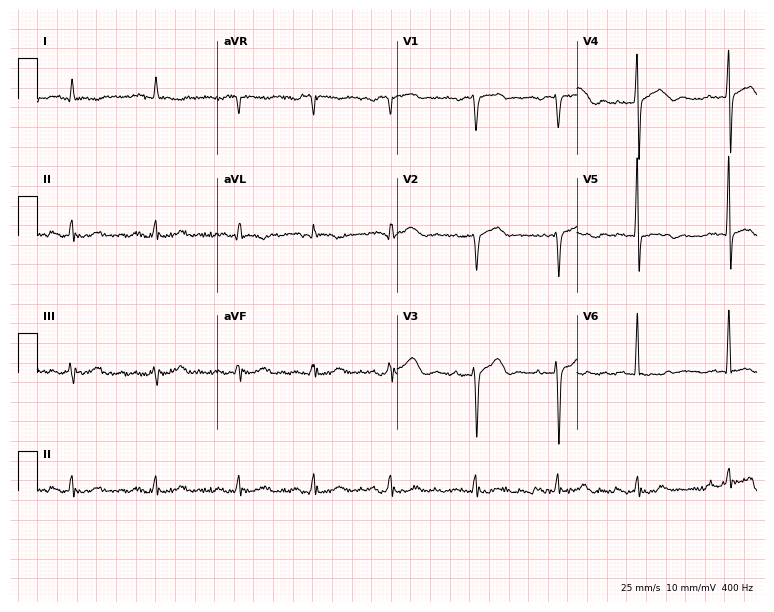
ECG — a man, 74 years old. Screened for six findings — first-degree AV block, right bundle branch block, left bundle branch block, sinus bradycardia, atrial fibrillation, sinus tachycardia — none is recorded. Only these six findings were labelled.